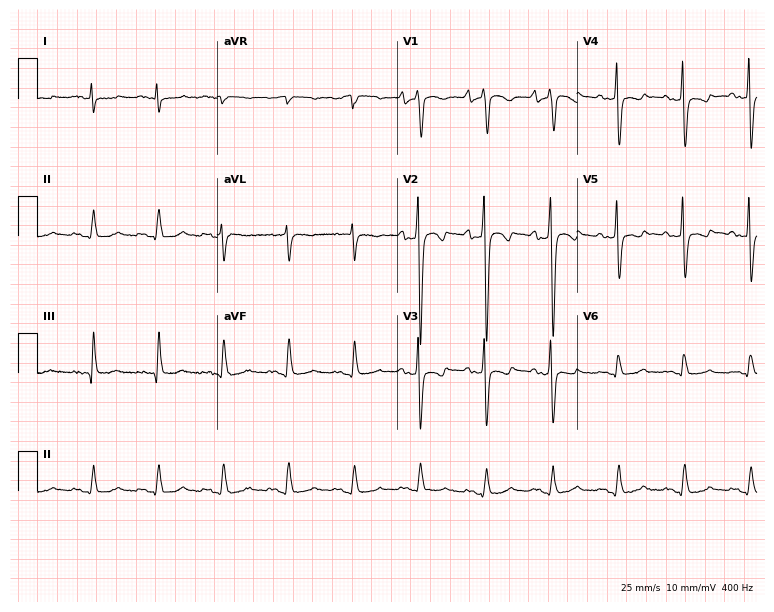
12-lead ECG from a male, 71 years old (7.3-second recording at 400 Hz). Recorded interpretation: within normal limits.